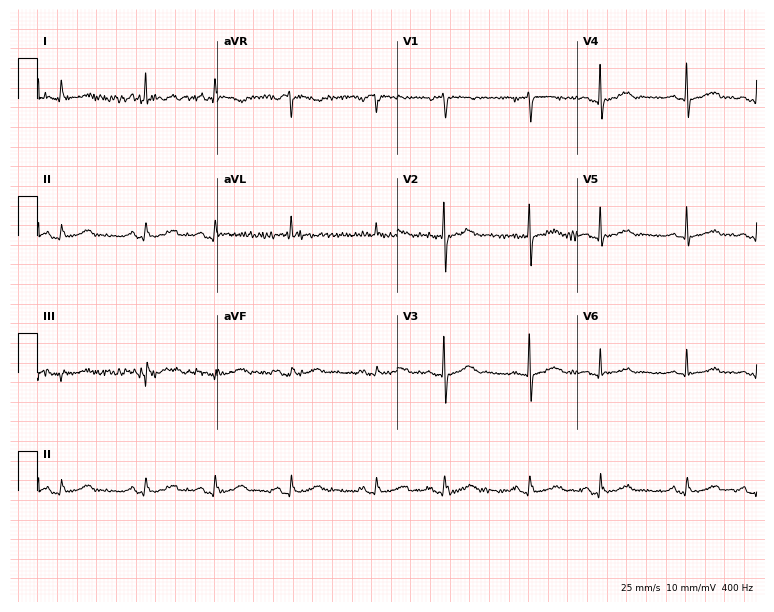
Standard 12-lead ECG recorded from an 85-year-old female. Read as a normal ECG.